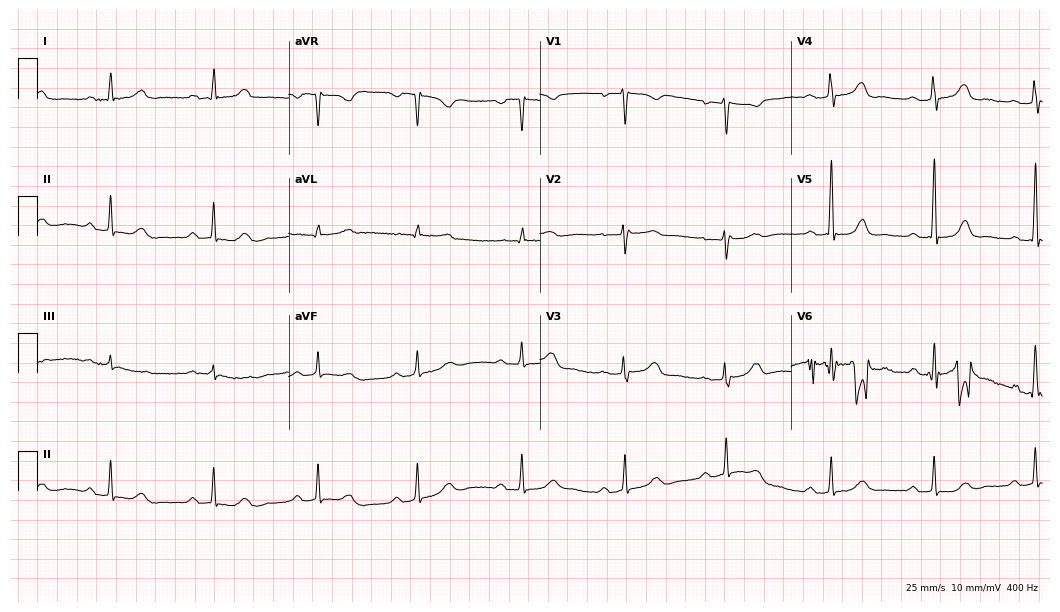
Electrocardiogram (10.2-second recording at 400 Hz), a woman, 42 years old. Interpretation includes first-degree AV block.